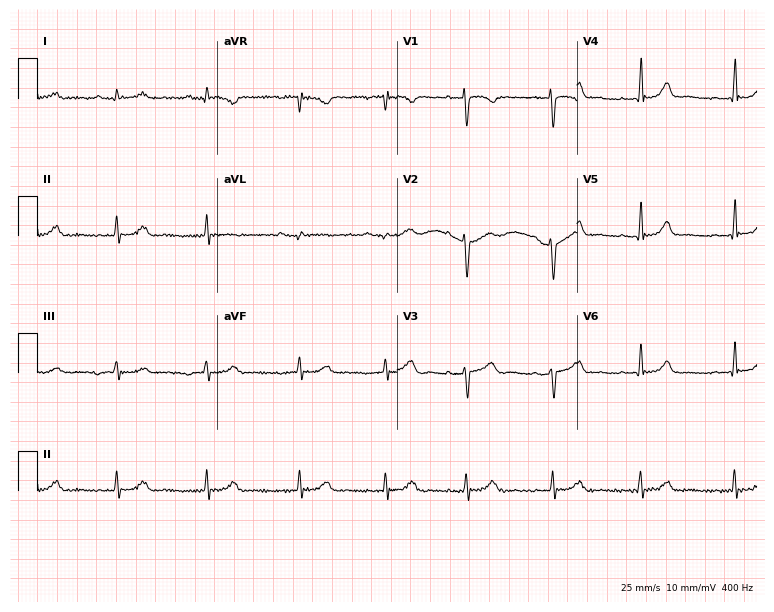
Resting 12-lead electrocardiogram. Patient: a female, 22 years old. Read as a normal ECG.